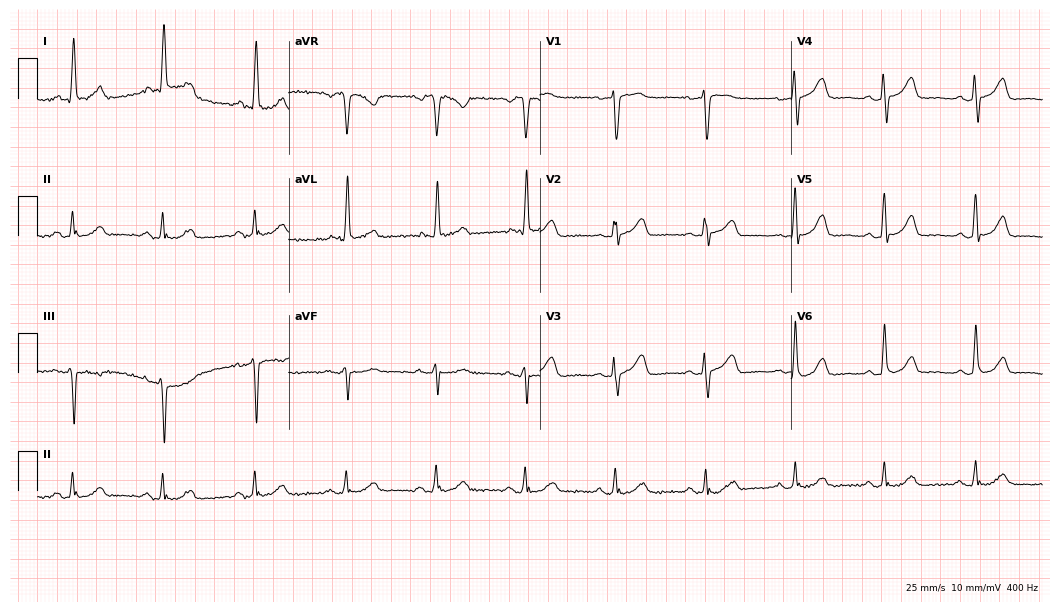
Electrocardiogram (10.2-second recording at 400 Hz), a 79-year-old female. Overall reading on record: normal ECG.